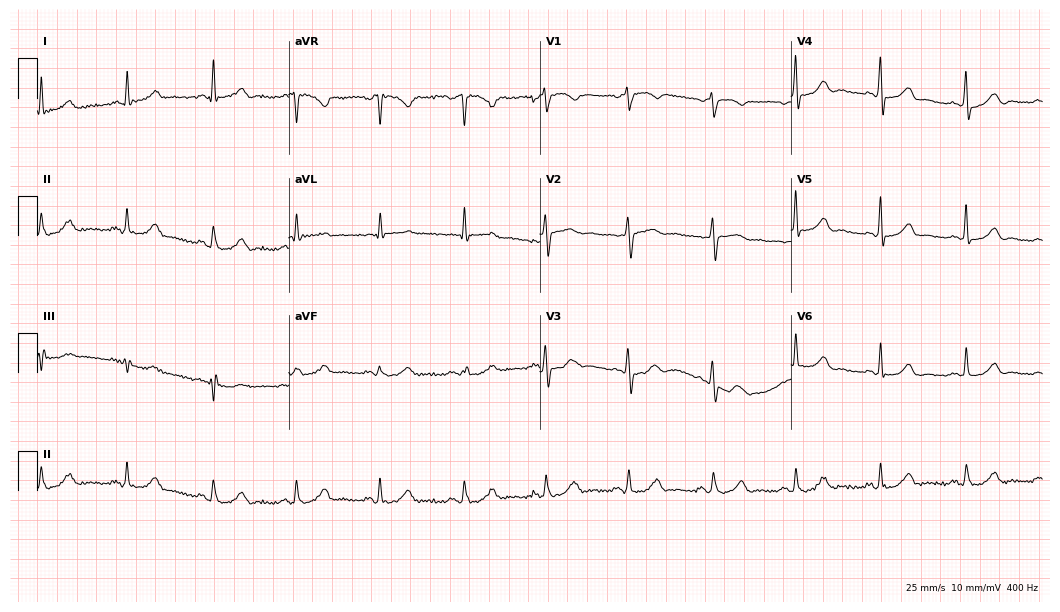
Electrocardiogram (10.2-second recording at 400 Hz), a woman, 56 years old. Overall reading on record: normal ECG.